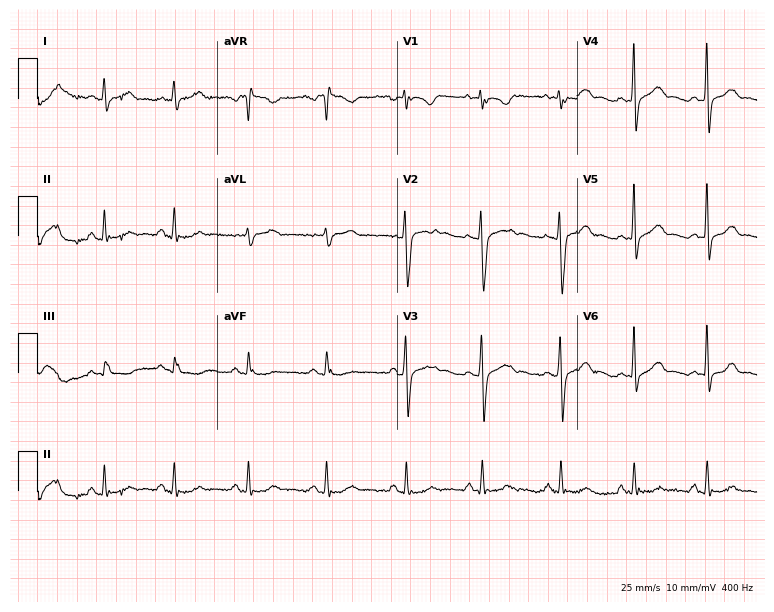
12-lead ECG (7.3-second recording at 400 Hz) from a female patient, 22 years old. Labelled as a normal ECG.